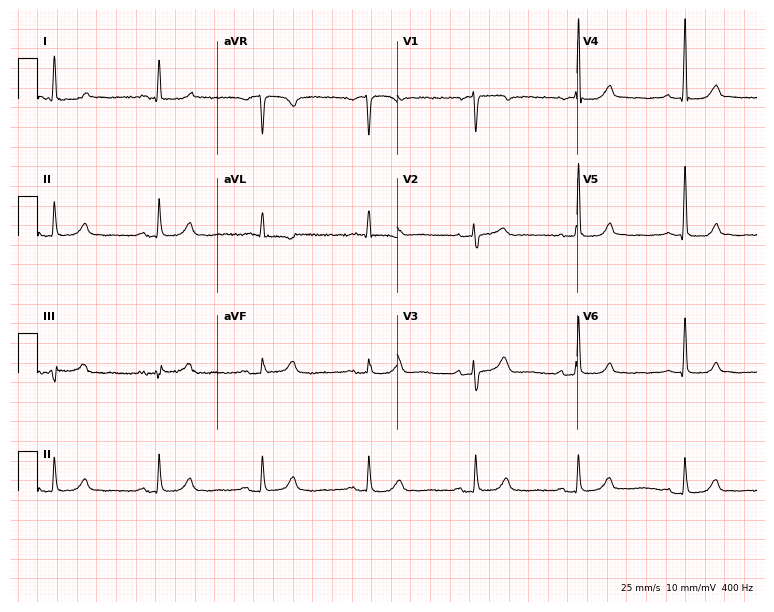
ECG (7.3-second recording at 400 Hz) — an 85-year-old female. Screened for six findings — first-degree AV block, right bundle branch block (RBBB), left bundle branch block (LBBB), sinus bradycardia, atrial fibrillation (AF), sinus tachycardia — none is recorded. Other findings, if any, are not listed.